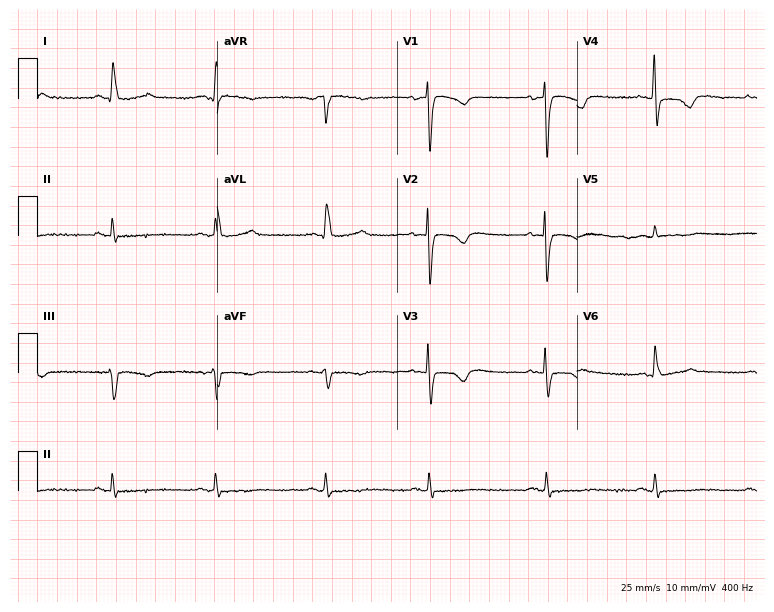
ECG (7.3-second recording at 400 Hz) — a female, 83 years old. Screened for six findings — first-degree AV block, right bundle branch block (RBBB), left bundle branch block (LBBB), sinus bradycardia, atrial fibrillation (AF), sinus tachycardia — none is recorded.